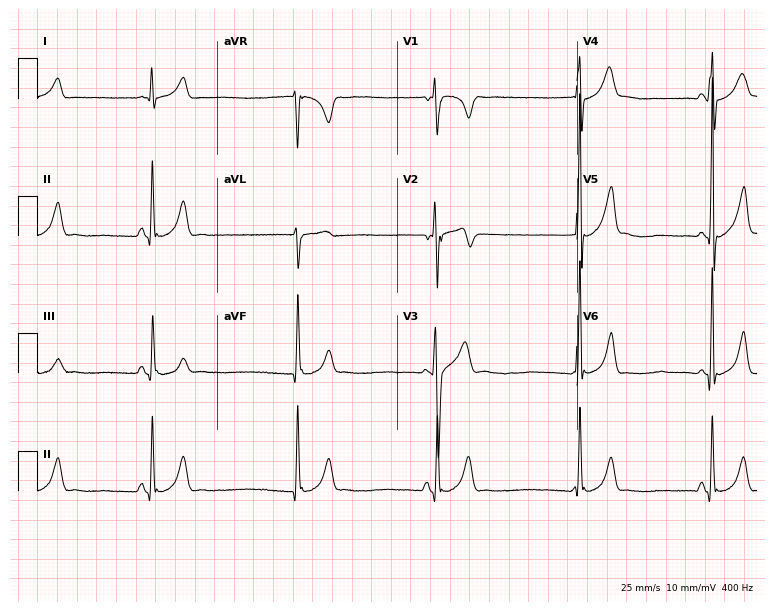
Standard 12-lead ECG recorded from a female, 20 years old. The tracing shows sinus bradycardia (a sinus rate of 50 beats per minute or less).